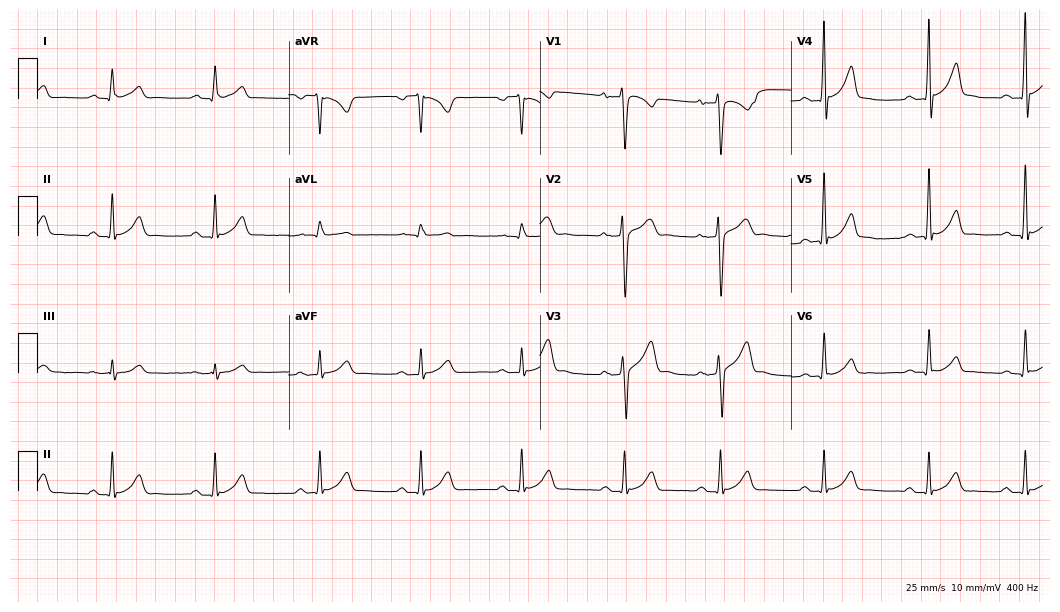
Standard 12-lead ECG recorded from a male patient, 31 years old (10.2-second recording at 400 Hz). Read as a normal ECG.